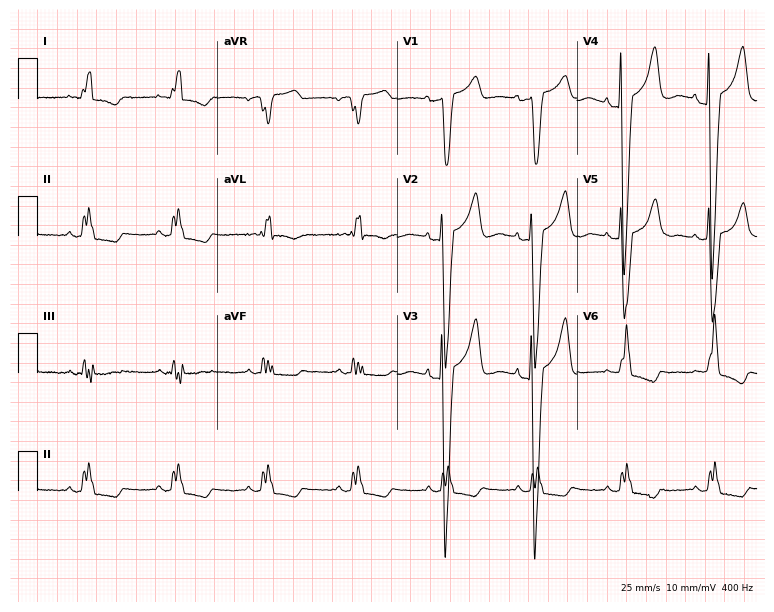
12-lead ECG from a female, 68 years old (7.3-second recording at 400 Hz). Shows left bundle branch block.